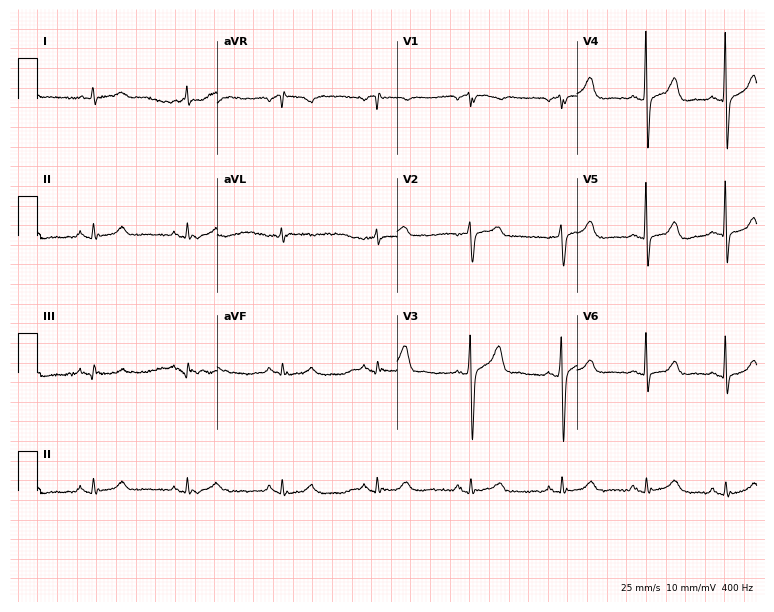
Standard 12-lead ECG recorded from a male patient, 83 years old. Read as a normal ECG.